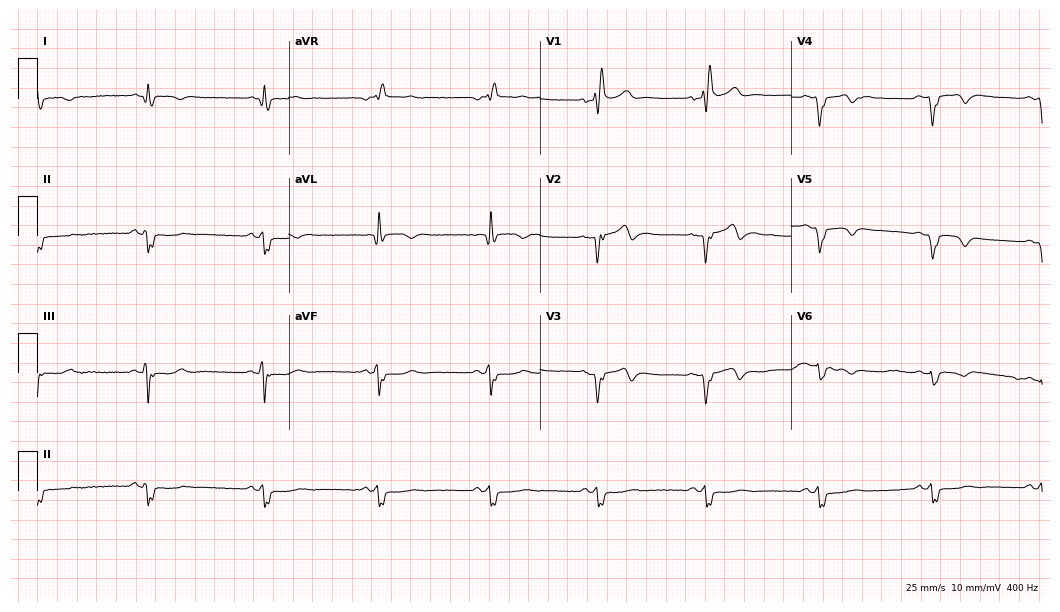
Standard 12-lead ECG recorded from a 69-year-old male patient. The tracing shows right bundle branch block.